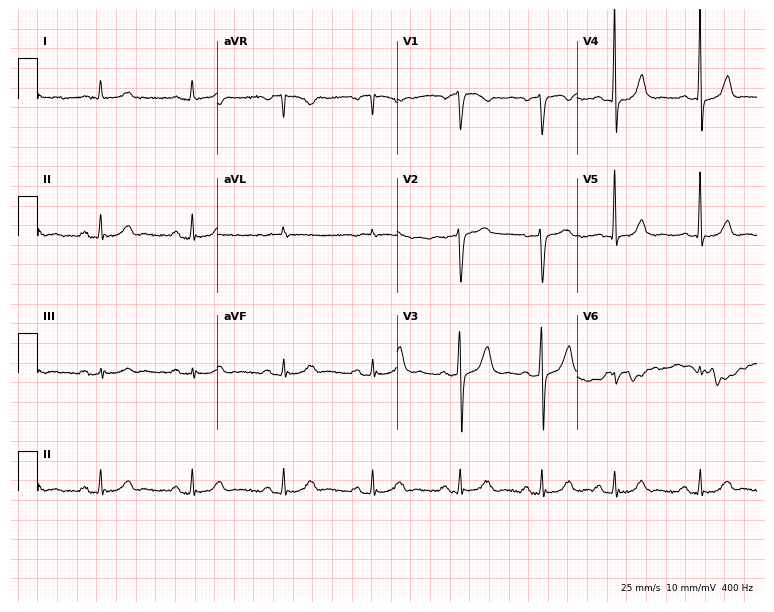
Standard 12-lead ECG recorded from a man, 57 years old. None of these six findings is recorded: first-degree AV block, right bundle branch block (RBBB), left bundle branch block (LBBB), sinus bradycardia, atrial fibrillation (AF), sinus tachycardia.